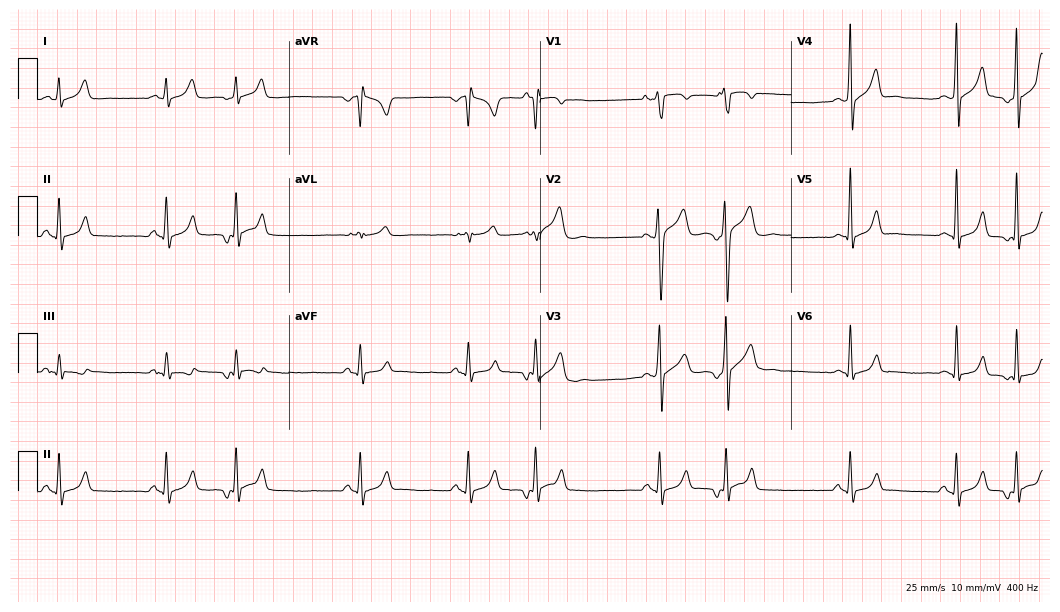
12-lead ECG from a man, 26 years old (10.2-second recording at 400 Hz). Recorded interpretation: within normal limits.